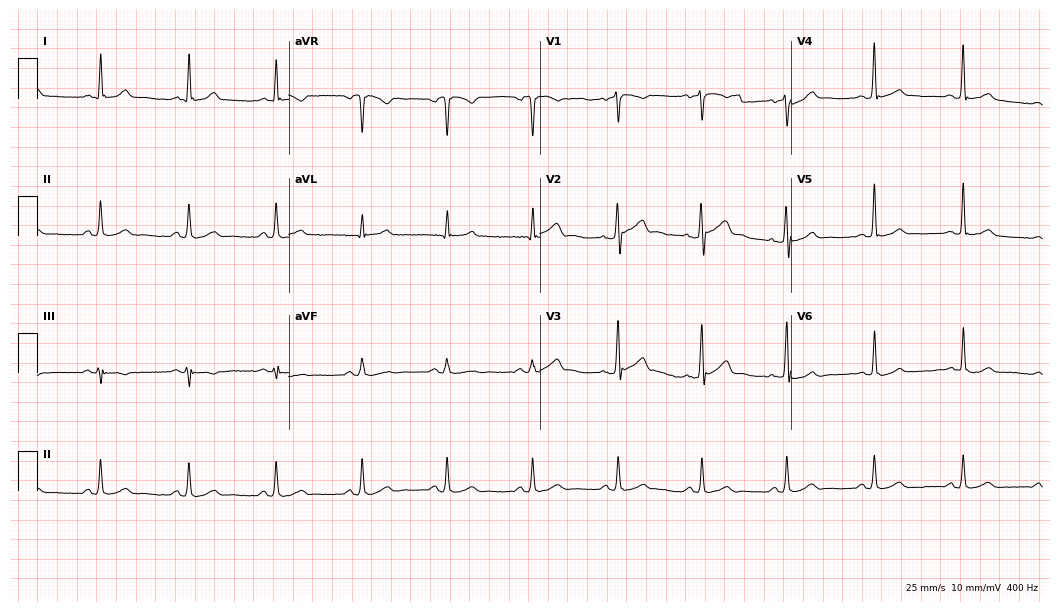
Standard 12-lead ECG recorded from a man, 48 years old (10.2-second recording at 400 Hz). Read as a normal ECG.